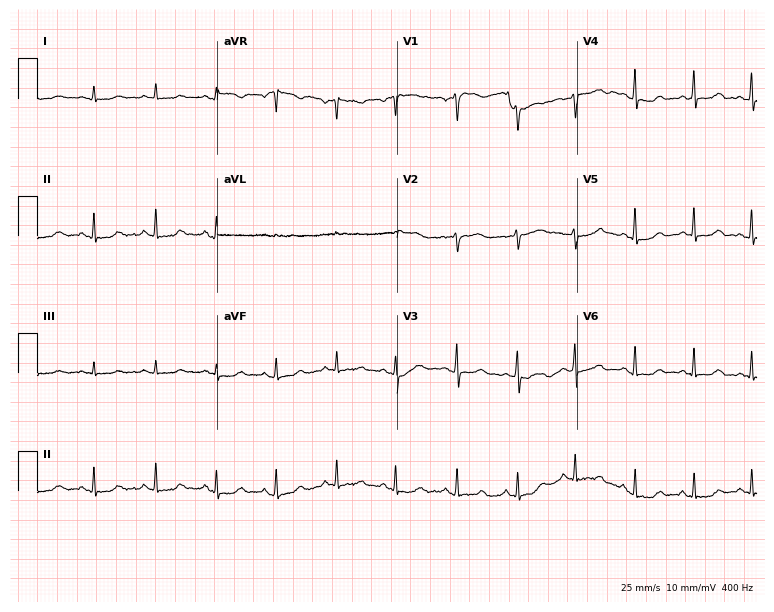
Electrocardiogram (7.3-second recording at 400 Hz), a 48-year-old female patient. Of the six screened findings (first-degree AV block, right bundle branch block, left bundle branch block, sinus bradycardia, atrial fibrillation, sinus tachycardia), none is recorded. Other findings, if any, are not listed.